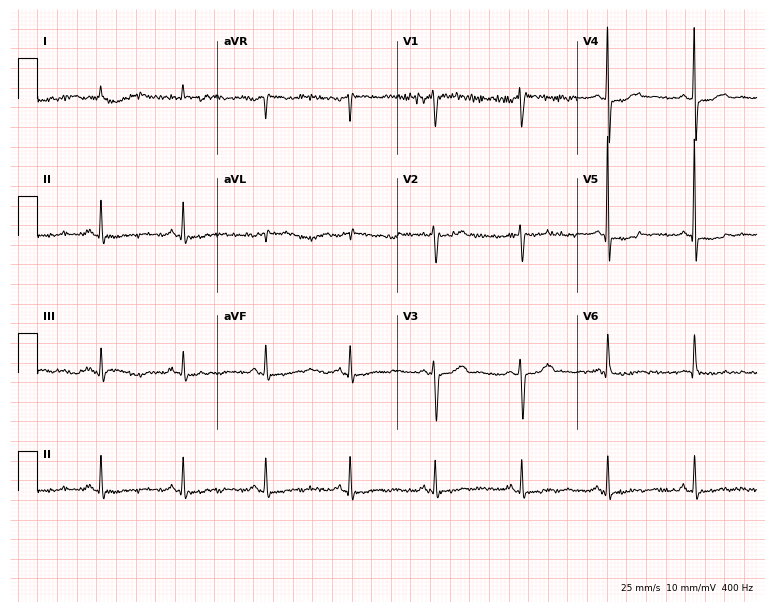
12-lead ECG (7.3-second recording at 400 Hz) from a female patient, 70 years old. Screened for six findings — first-degree AV block, right bundle branch block, left bundle branch block, sinus bradycardia, atrial fibrillation, sinus tachycardia — none is recorded. Only these six findings were labelled.